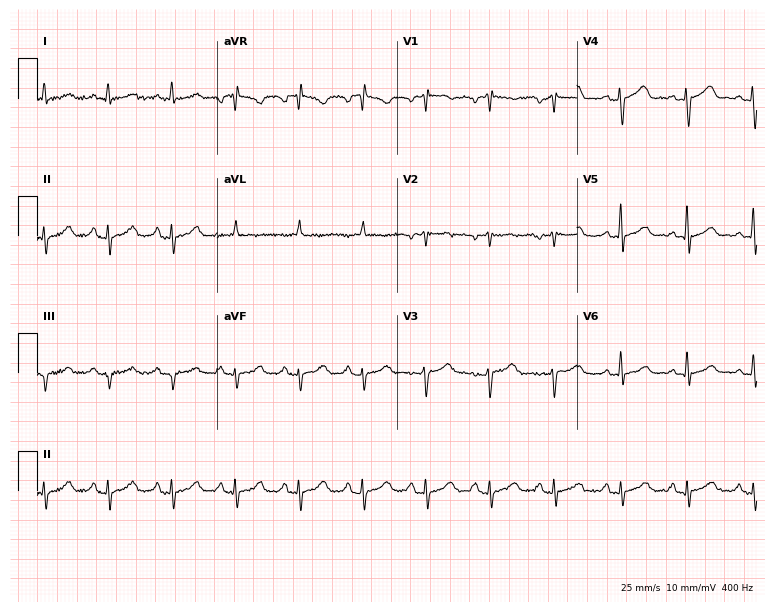
Standard 12-lead ECG recorded from a woman, 63 years old. None of these six findings is recorded: first-degree AV block, right bundle branch block, left bundle branch block, sinus bradycardia, atrial fibrillation, sinus tachycardia.